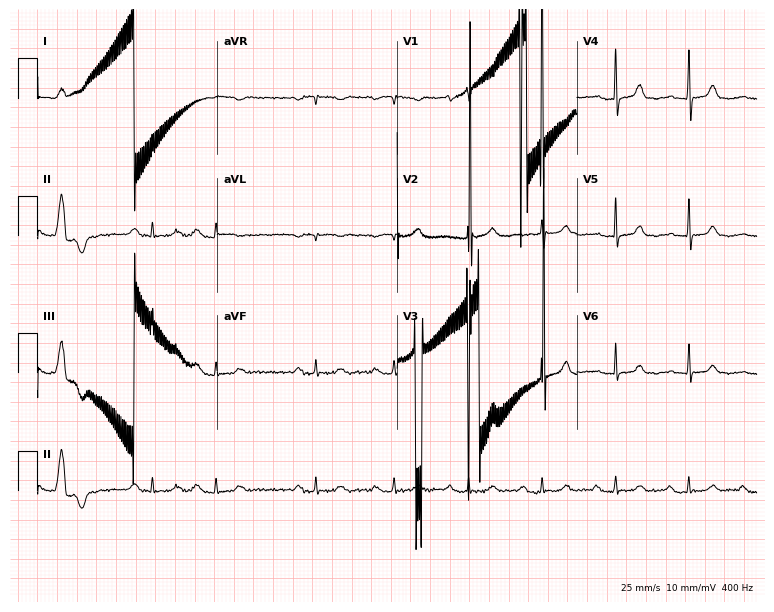
12-lead ECG (7.3-second recording at 400 Hz) from an 80-year-old woman. Screened for six findings — first-degree AV block, right bundle branch block, left bundle branch block, sinus bradycardia, atrial fibrillation, sinus tachycardia — none is recorded.